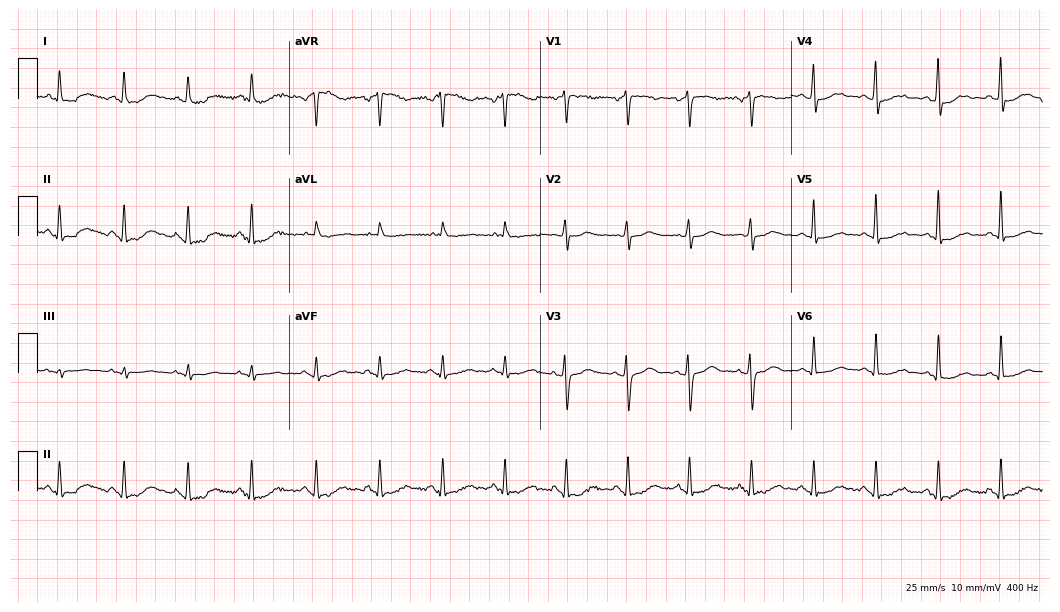
Resting 12-lead electrocardiogram. Patient: a female, 69 years old. None of these six findings is recorded: first-degree AV block, right bundle branch block, left bundle branch block, sinus bradycardia, atrial fibrillation, sinus tachycardia. Other findings, if any, are not listed.